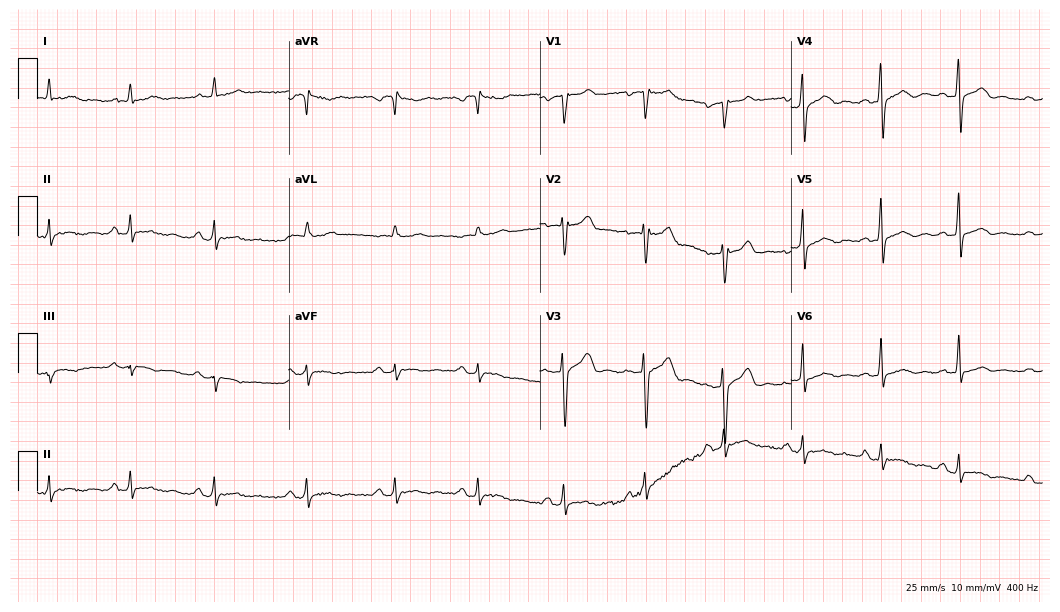
Electrocardiogram, a man, 37 years old. Of the six screened findings (first-degree AV block, right bundle branch block (RBBB), left bundle branch block (LBBB), sinus bradycardia, atrial fibrillation (AF), sinus tachycardia), none is recorded.